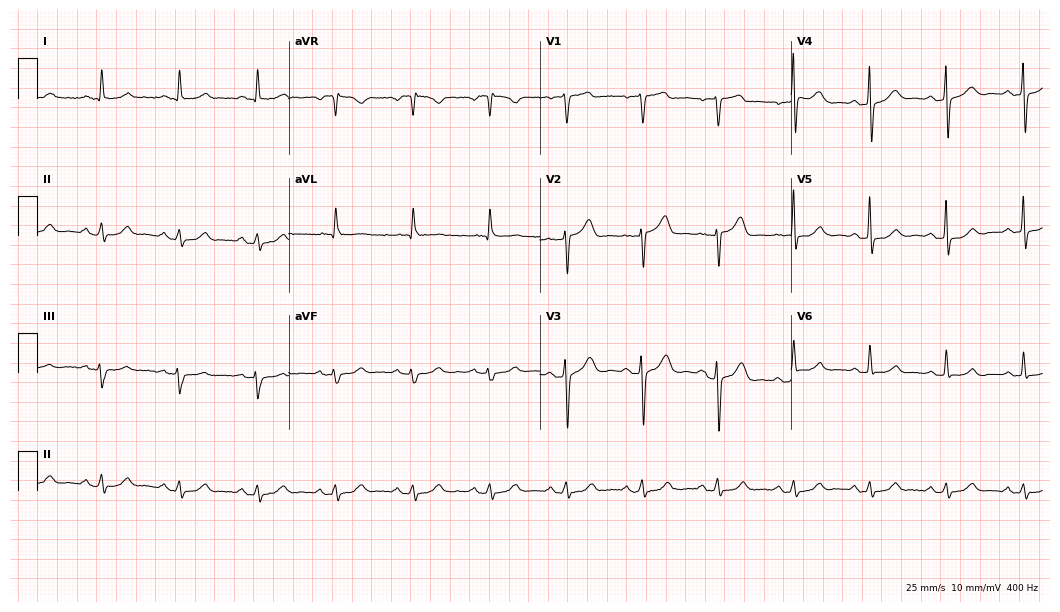
Electrocardiogram (10.2-second recording at 400 Hz), a female, 85 years old. Overall reading on record: normal ECG.